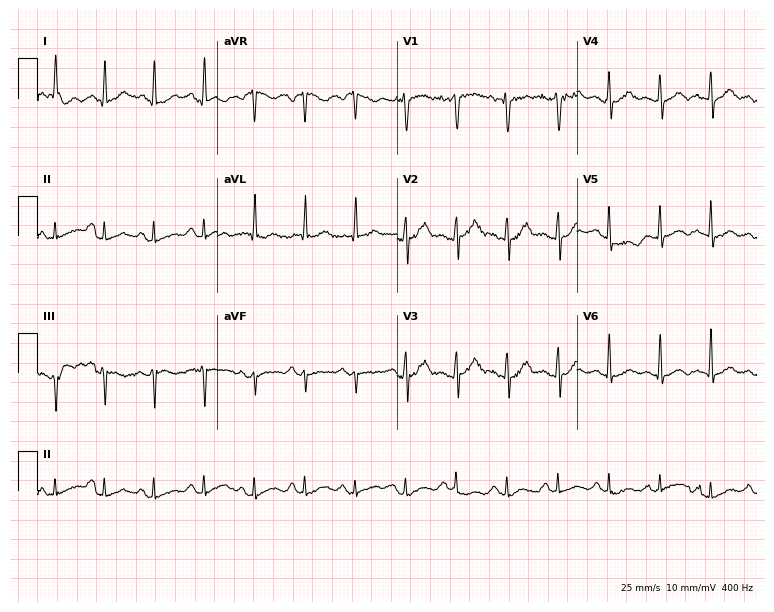
12-lead ECG (7.3-second recording at 400 Hz) from a male, 39 years old. Screened for six findings — first-degree AV block, right bundle branch block, left bundle branch block, sinus bradycardia, atrial fibrillation, sinus tachycardia — none is recorded. Other findings, if any, are not listed.